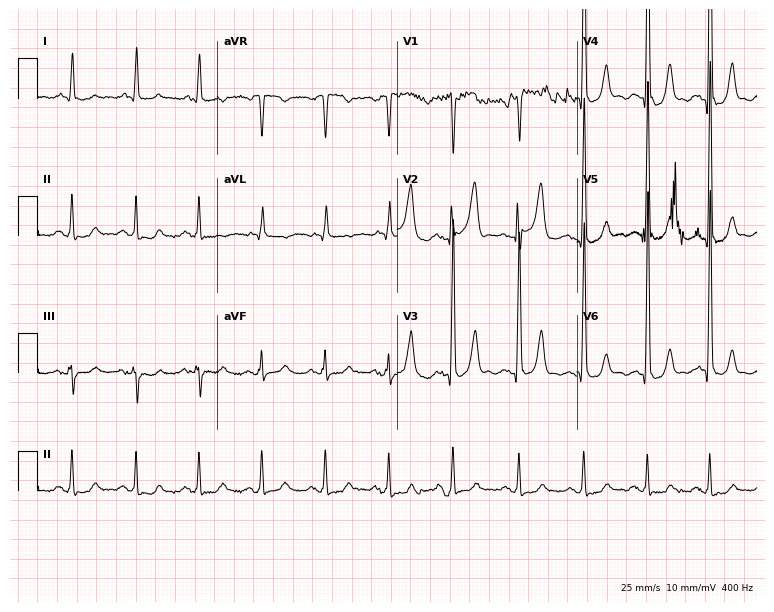
Resting 12-lead electrocardiogram (7.3-second recording at 400 Hz). Patient: an 84-year-old male. None of these six findings is recorded: first-degree AV block, right bundle branch block (RBBB), left bundle branch block (LBBB), sinus bradycardia, atrial fibrillation (AF), sinus tachycardia. Findings outside these six are not listed.